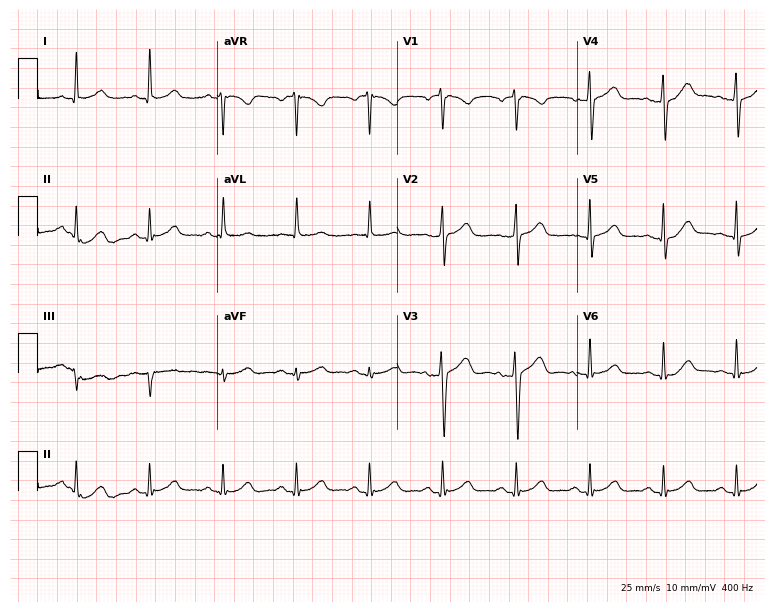
Standard 12-lead ECG recorded from a male, 57 years old (7.3-second recording at 400 Hz). Read as a normal ECG.